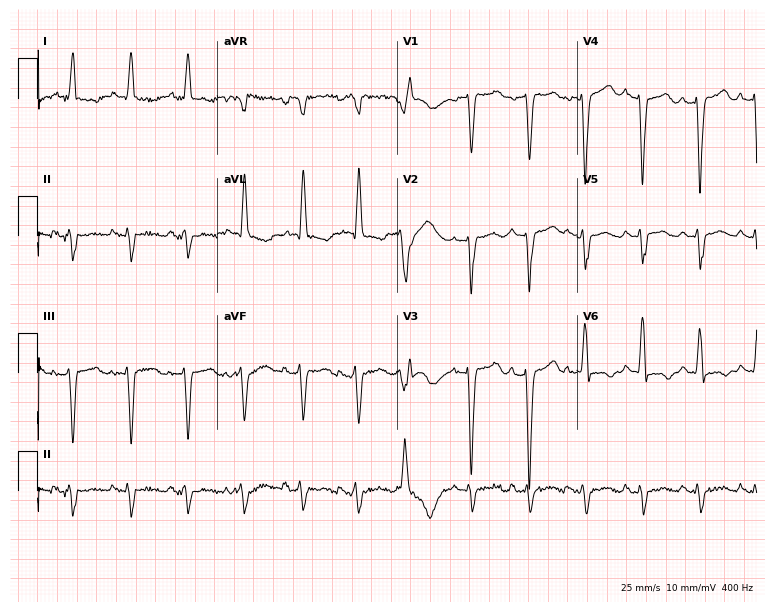
ECG — a 79-year-old woman. Screened for six findings — first-degree AV block, right bundle branch block (RBBB), left bundle branch block (LBBB), sinus bradycardia, atrial fibrillation (AF), sinus tachycardia — none is recorded.